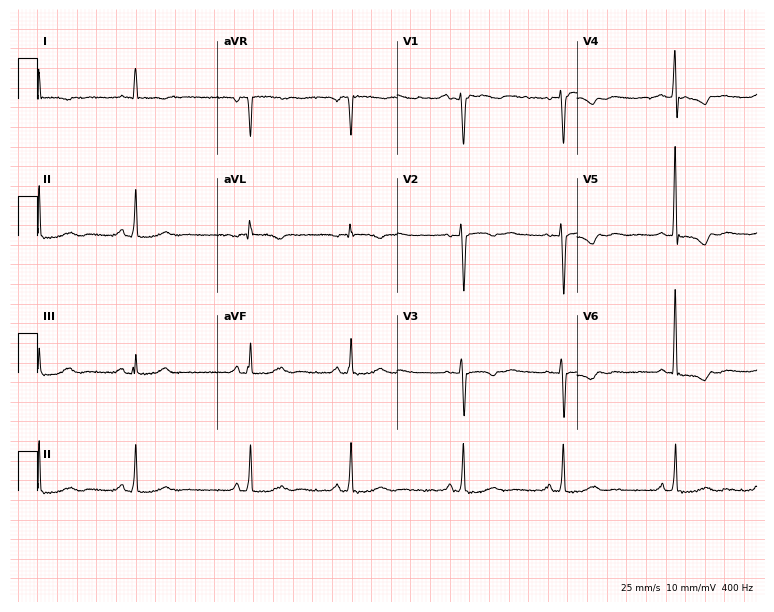
12-lead ECG from a woman, 67 years old. Screened for six findings — first-degree AV block, right bundle branch block, left bundle branch block, sinus bradycardia, atrial fibrillation, sinus tachycardia — none is recorded. Findings outside these six are not listed.